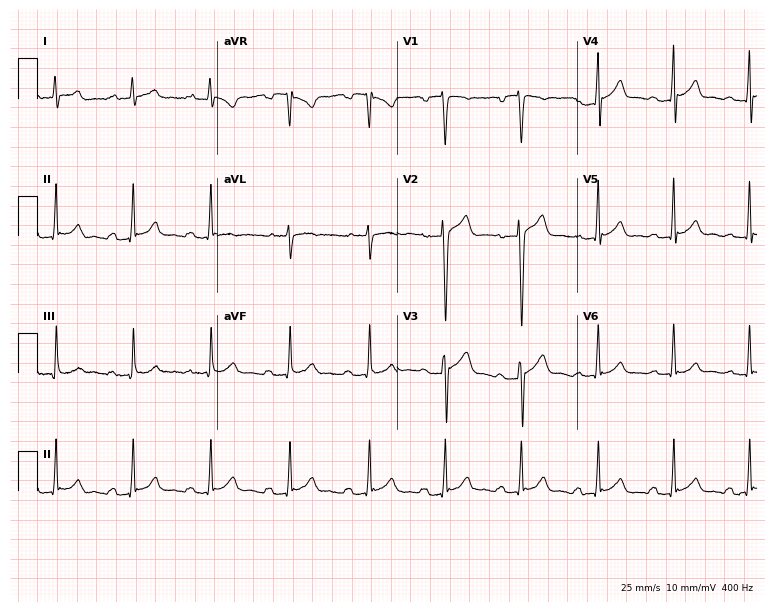
12-lead ECG from a 19-year-old male (7.3-second recording at 400 Hz). Shows first-degree AV block.